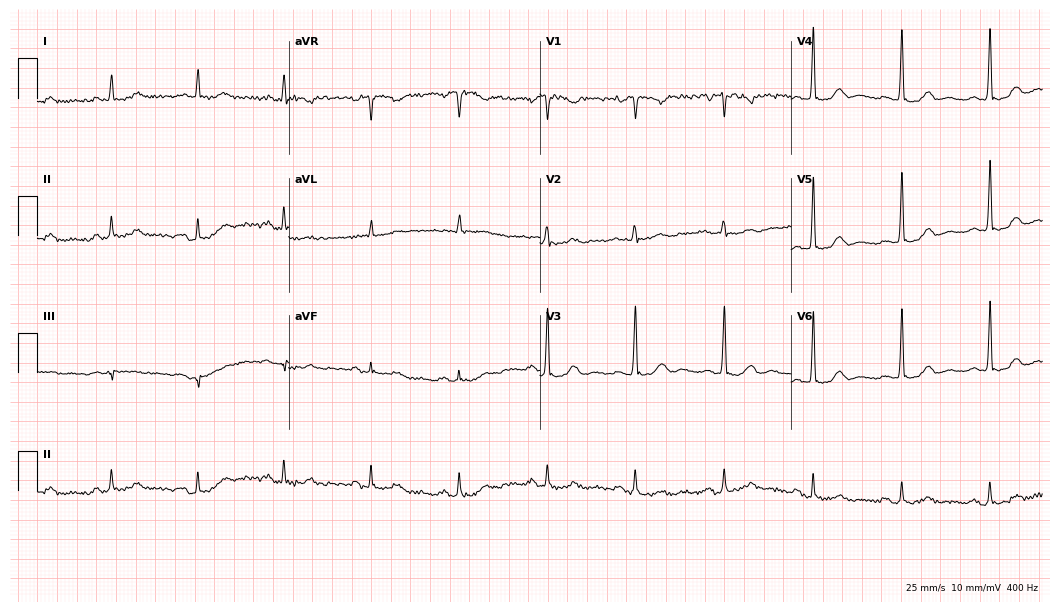
Standard 12-lead ECG recorded from a male, 65 years old (10.2-second recording at 400 Hz). None of these six findings is recorded: first-degree AV block, right bundle branch block, left bundle branch block, sinus bradycardia, atrial fibrillation, sinus tachycardia. Only these six findings were labelled.